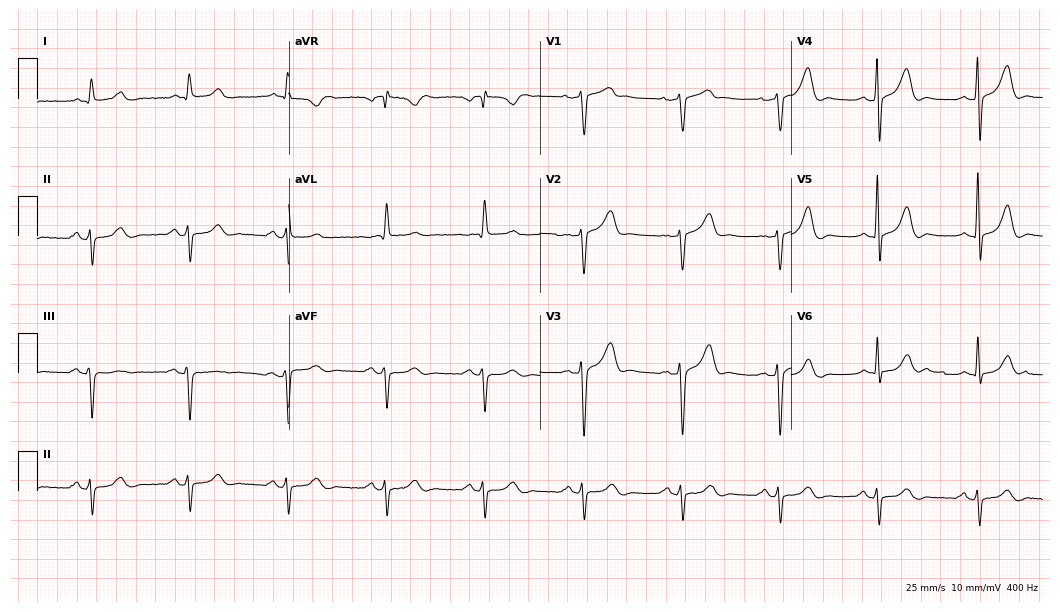
Standard 12-lead ECG recorded from a male, 68 years old. None of these six findings is recorded: first-degree AV block, right bundle branch block, left bundle branch block, sinus bradycardia, atrial fibrillation, sinus tachycardia.